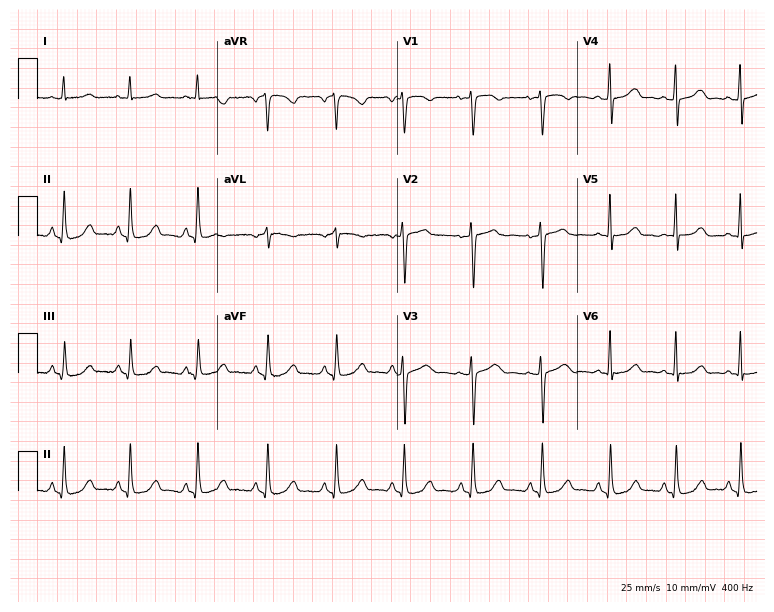
Electrocardiogram, a female patient, 44 years old. Overall reading on record: normal ECG.